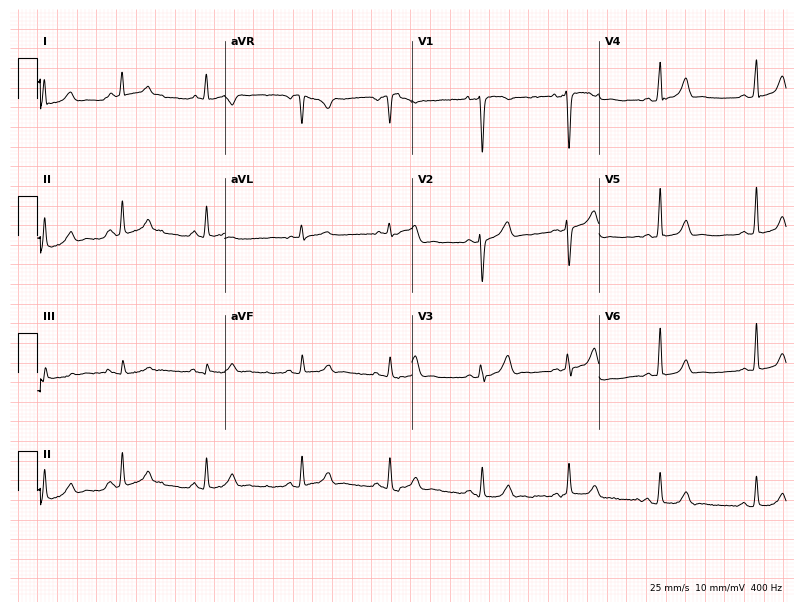
Standard 12-lead ECG recorded from a 26-year-old female. None of these six findings is recorded: first-degree AV block, right bundle branch block (RBBB), left bundle branch block (LBBB), sinus bradycardia, atrial fibrillation (AF), sinus tachycardia. Other findings, if any, are not listed.